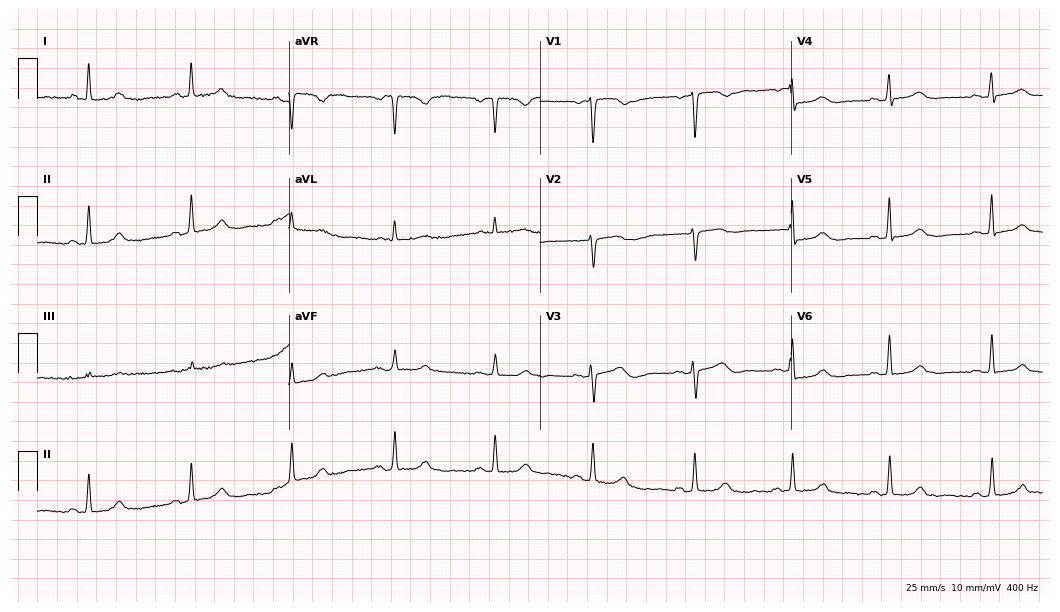
12-lead ECG from a 60-year-old female. Recorded interpretation: within normal limits.